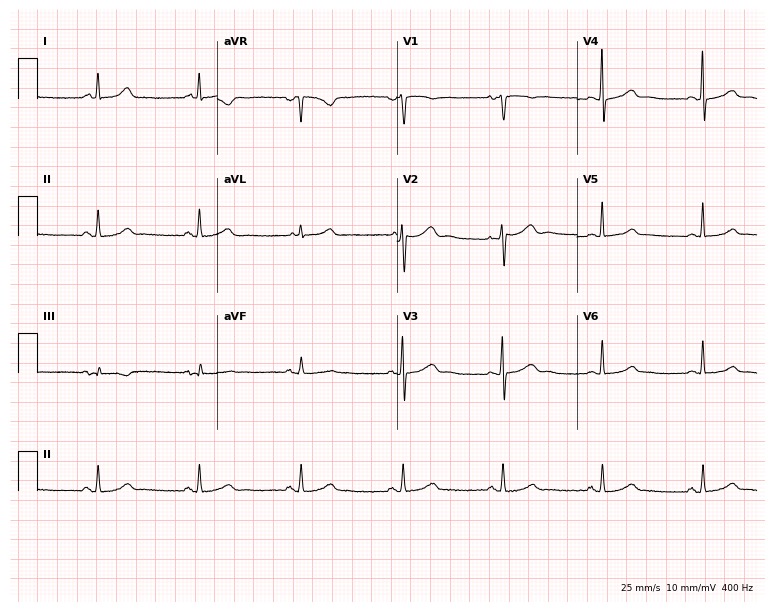
Standard 12-lead ECG recorded from a female, 45 years old (7.3-second recording at 400 Hz). Read as a normal ECG.